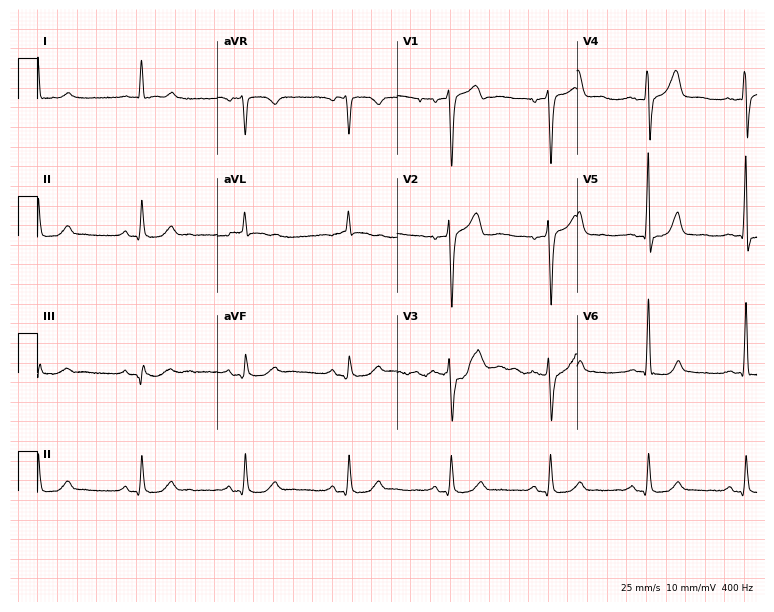
Electrocardiogram (7.3-second recording at 400 Hz), a 76-year-old male patient. Overall reading on record: normal ECG.